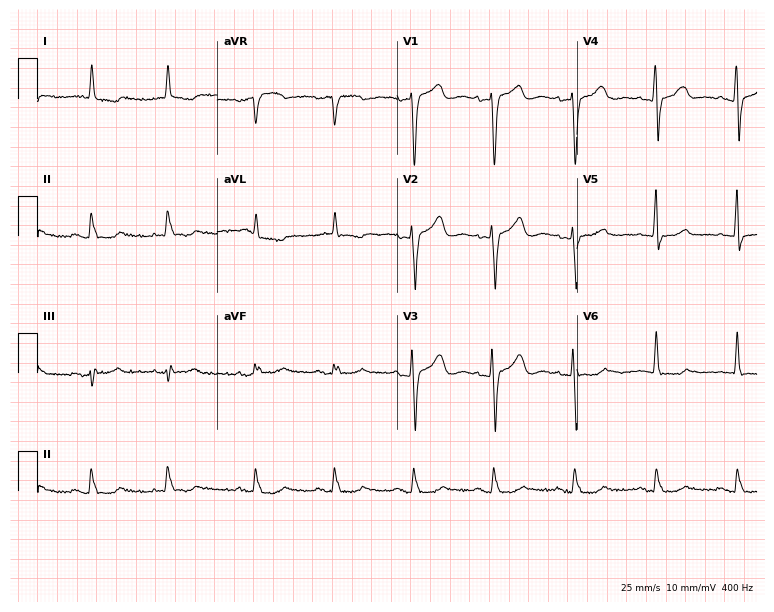
Electrocardiogram, a female patient, 83 years old. Of the six screened findings (first-degree AV block, right bundle branch block (RBBB), left bundle branch block (LBBB), sinus bradycardia, atrial fibrillation (AF), sinus tachycardia), none is recorded.